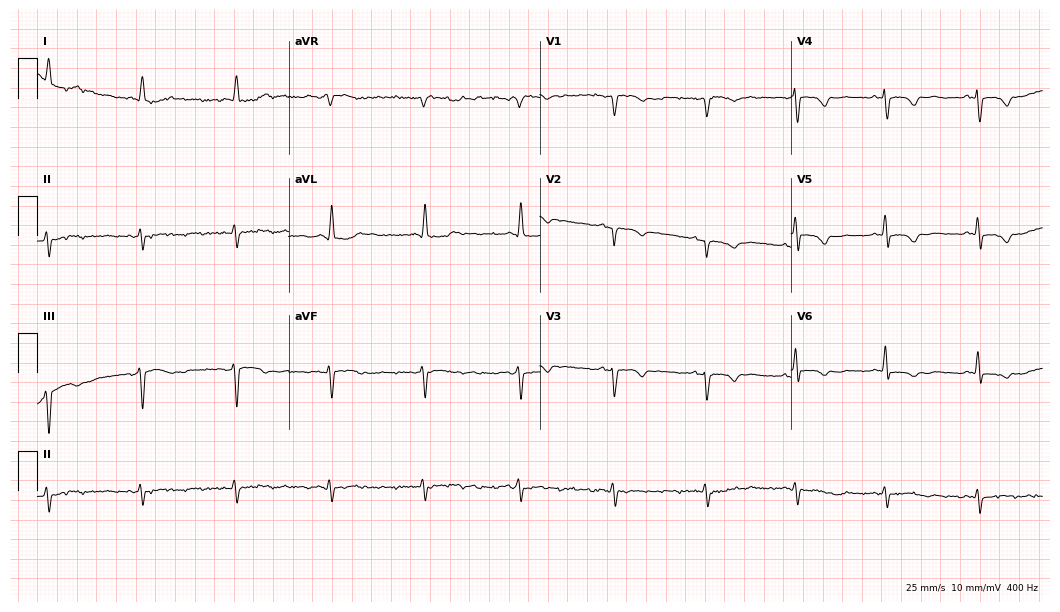
12-lead ECG (10.2-second recording at 400 Hz) from a female, 80 years old. Screened for six findings — first-degree AV block, right bundle branch block, left bundle branch block, sinus bradycardia, atrial fibrillation, sinus tachycardia — none is recorded. Only these six findings were labelled.